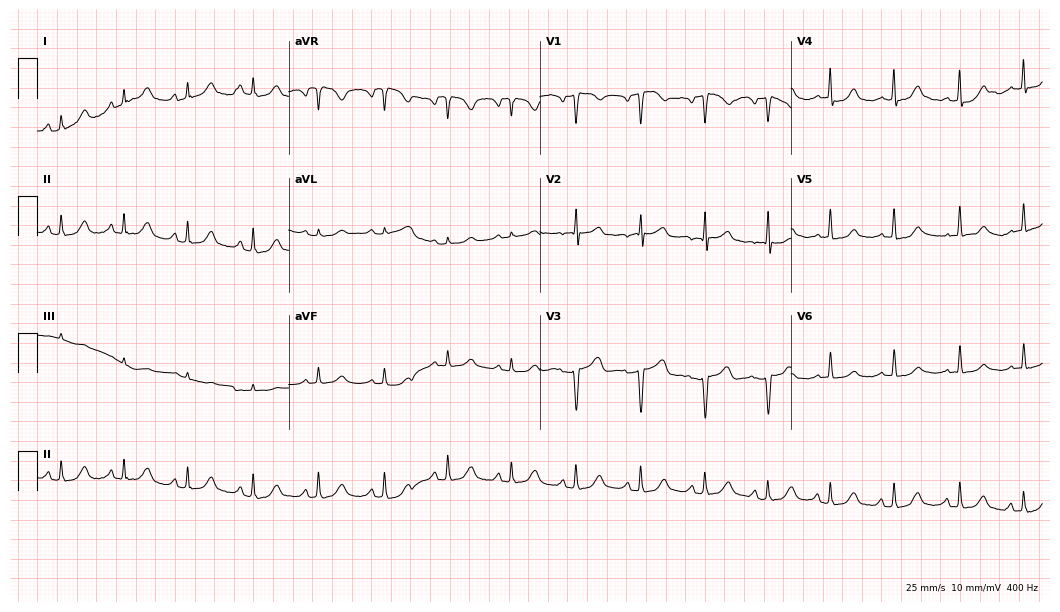
12-lead ECG from a female, 76 years old. Labelled as a normal ECG.